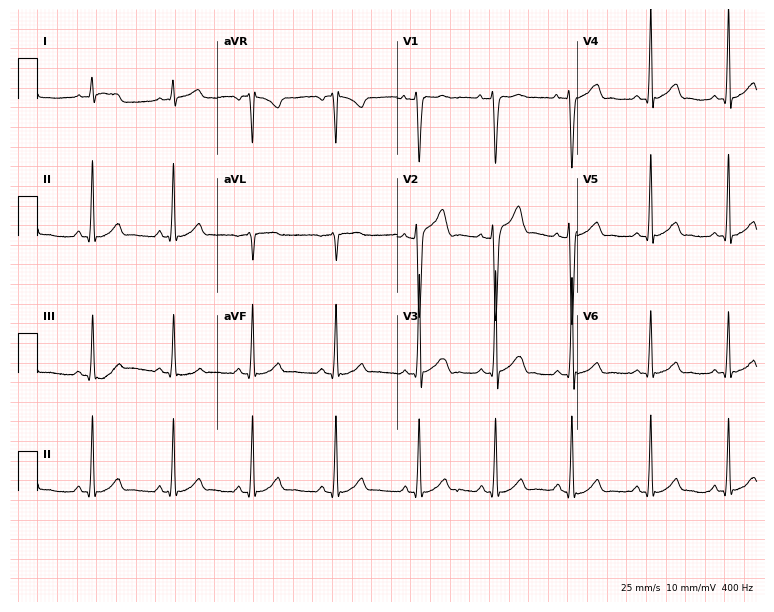
12-lead ECG from a male patient, 20 years old. Screened for six findings — first-degree AV block, right bundle branch block, left bundle branch block, sinus bradycardia, atrial fibrillation, sinus tachycardia — none is recorded. Other findings, if any, are not listed.